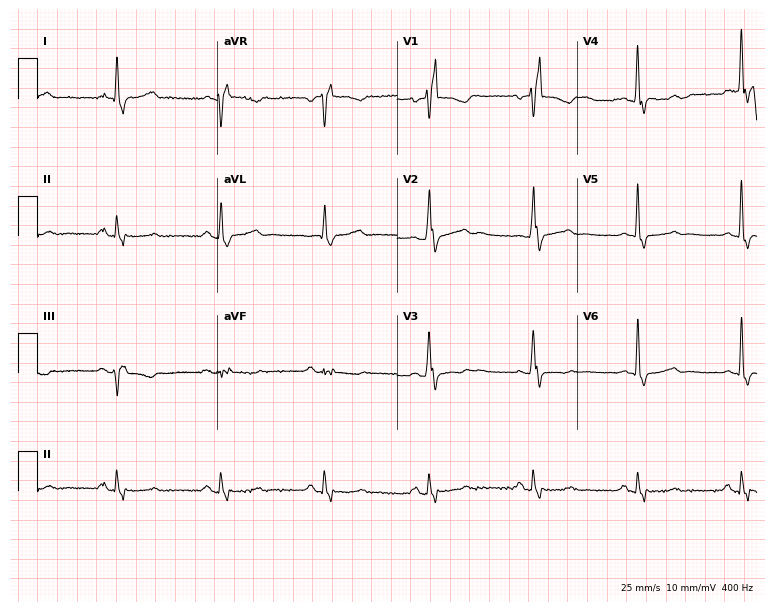
Standard 12-lead ECG recorded from a female, 74 years old (7.3-second recording at 400 Hz). The tracing shows right bundle branch block (RBBB).